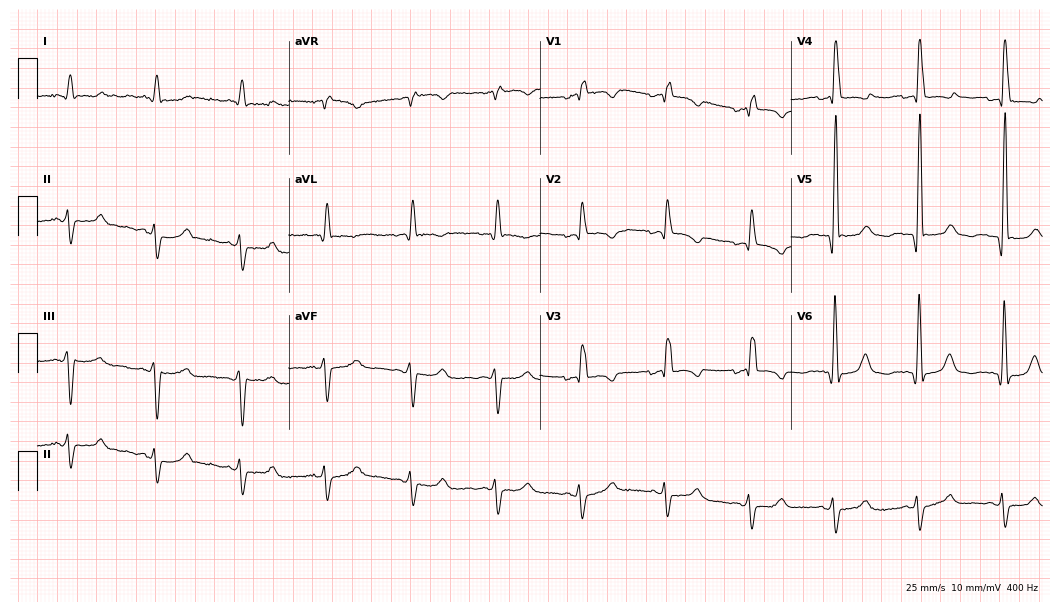
Standard 12-lead ECG recorded from a female, 77 years old (10.2-second recording at 400 Hz). None of these six findings is recorded: first-degree AV block, right bundle branch block (RBBB), left bundle branch block (LBBB), sinus bradycardia, atrial fibrillation (AF), sinus tachycardia. Other findings, if any, are not listed.